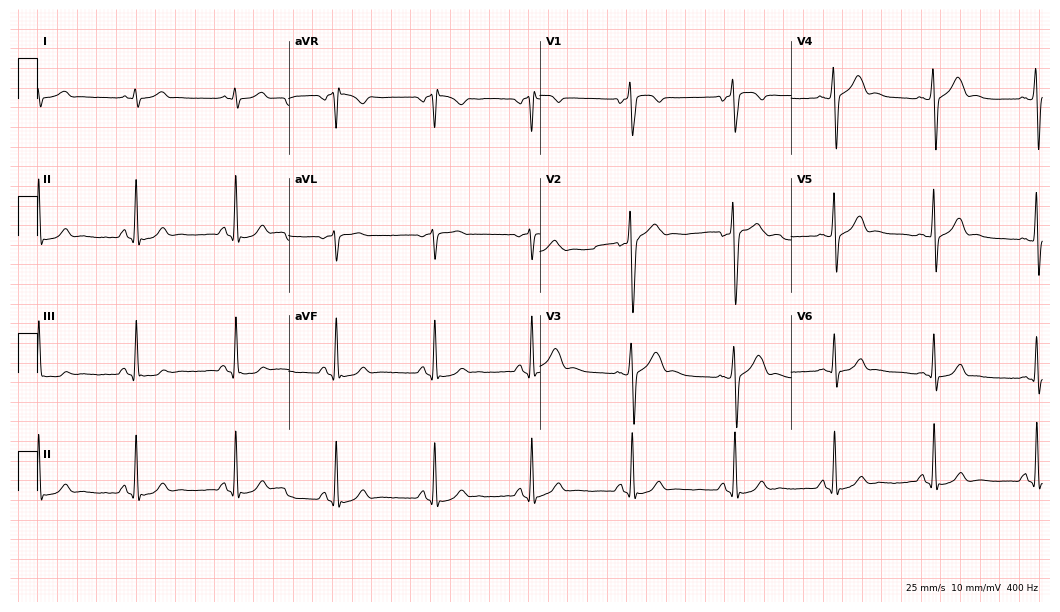
Standard 12-lead ECG recorded from a 37-year-old male. None of these six findings is recorded: first-degree AV block, right bundle branch block (RBBB), left bundle branch block (LBBB), sinus bradycardia, atrial fibrillation (AF), sinus tachycardia. Only these six findings were labelled.